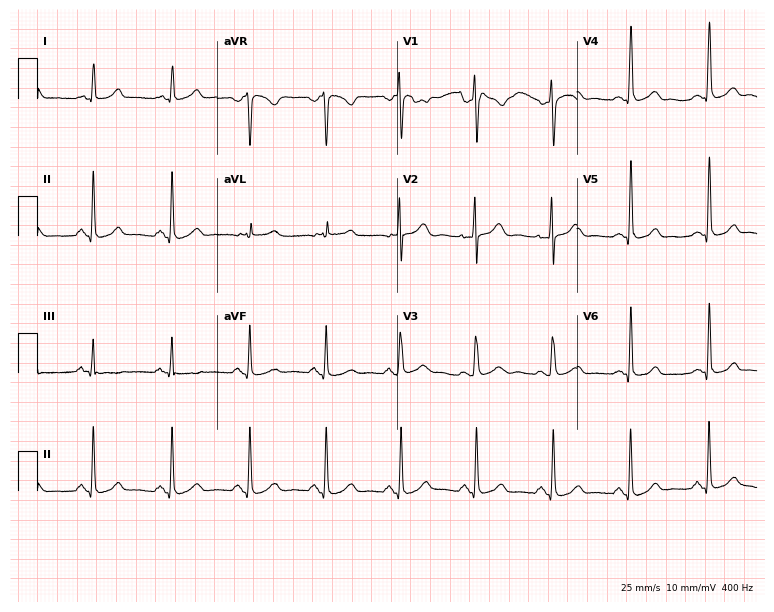
Electrocardiogram (7.3-second recording at 400 Hz), a 38-year-old female. Overall reading on record: normal ECG.